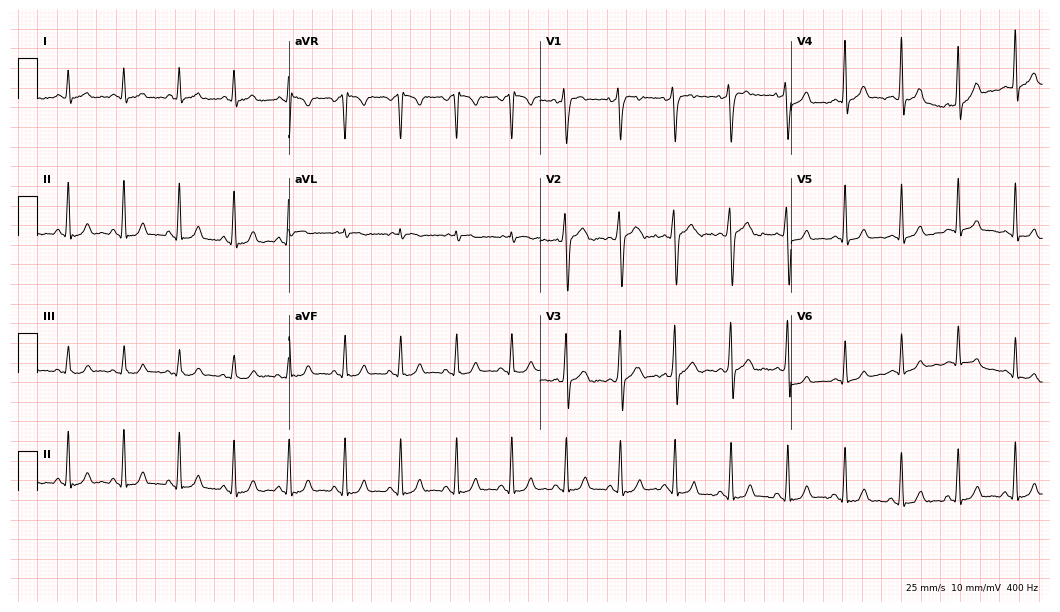
ECG — a male, 19 years old. Findings include sinus tachycardia (a sinus rate of 100 beats per minute or more).